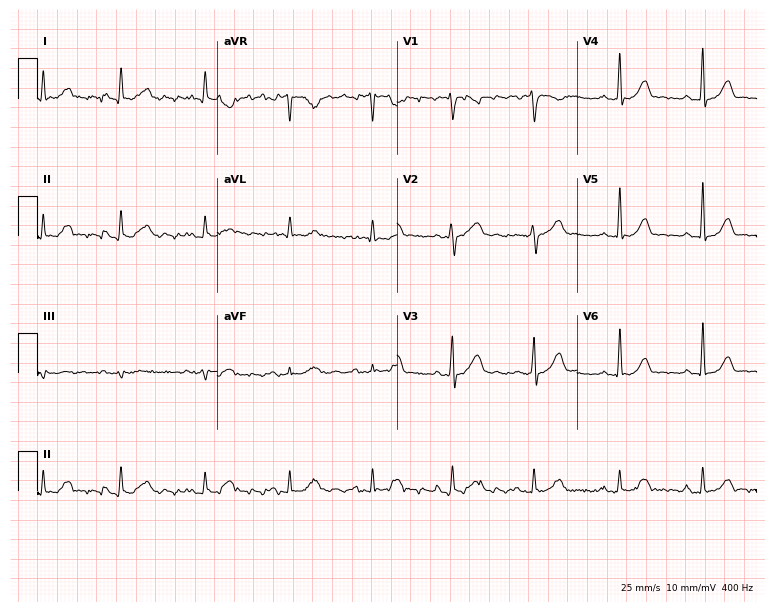
12-lead ECG from a 51-year-old female patient. Screened for six findings — first-degree AV block, right bundle branch block, left bundle branch block, sinus bradycardia, atrial fibrillation, sinus tachycardia — none is recorded. Only these six findings were labelled.